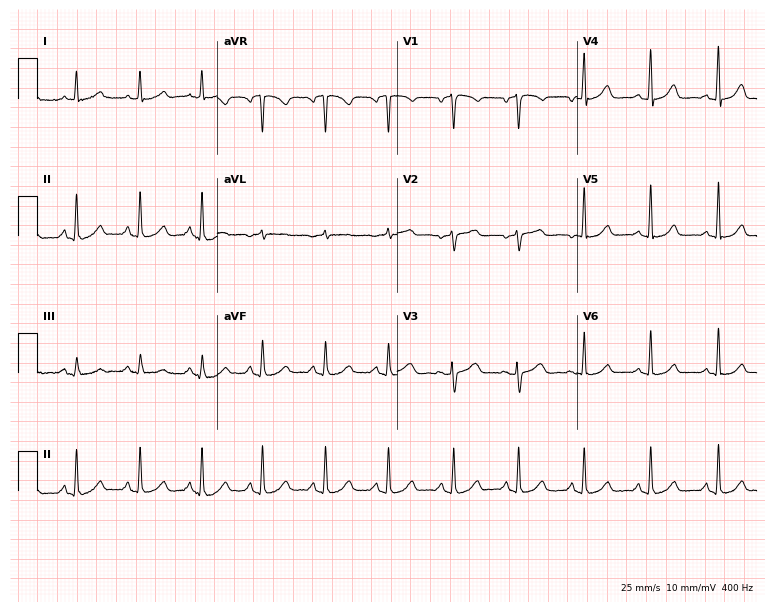
Resting 12-lead electrocardiogram (7.3-second recording at 400 Hz). Patient: a 60-year-old female. None of these six findings is recorded: first-degree AV block, right bundle branch block, left bundle branch block, sinus bradycardia, atrial fibrillation, sinus tachycardia. Findings outside these six are not listed.